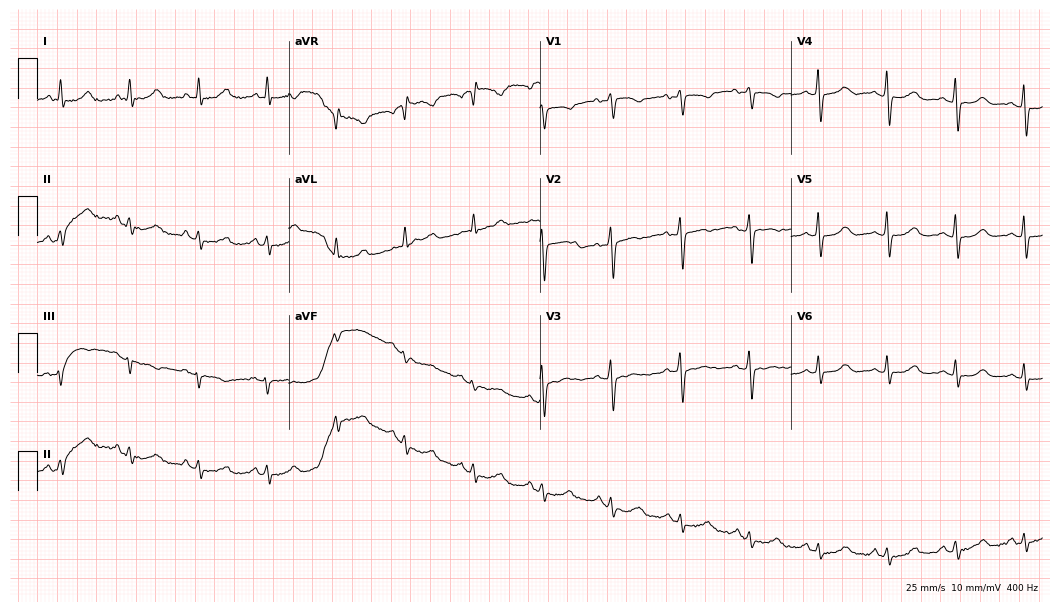
Electrocardiogram, a woman, 77 years old. Of the six screened findings (first-degree AV block, right bundle branch block, left bundle branch block, sinus bradycardia, atrial fibrillation, sinus tachycardia), none is recorded. Only these six findings were labelled.